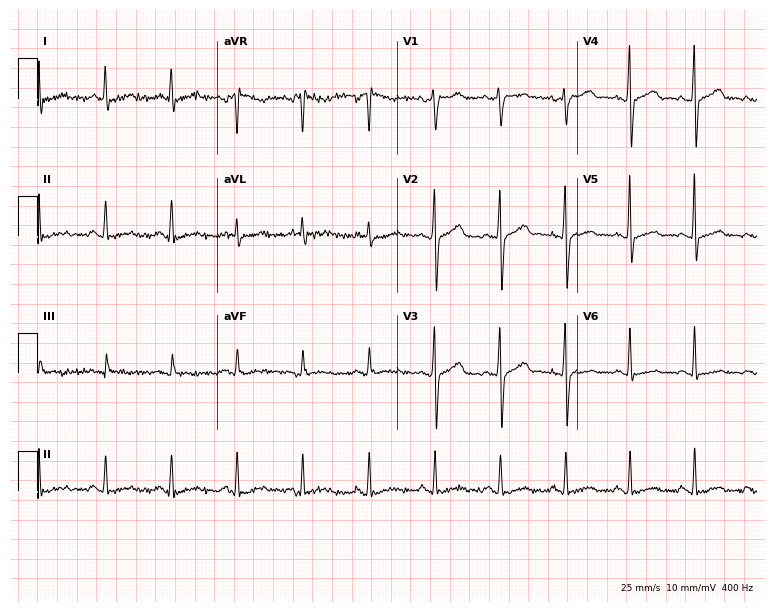
12-lead ECG from a man, 54 years old (7.3-second recording at 400 Hz). No first-degree AV block, right bundle branch block, left bundle branch block, sinus bradycardia, atrial fibrillation or sinus tachycardia recorded for this tracing.